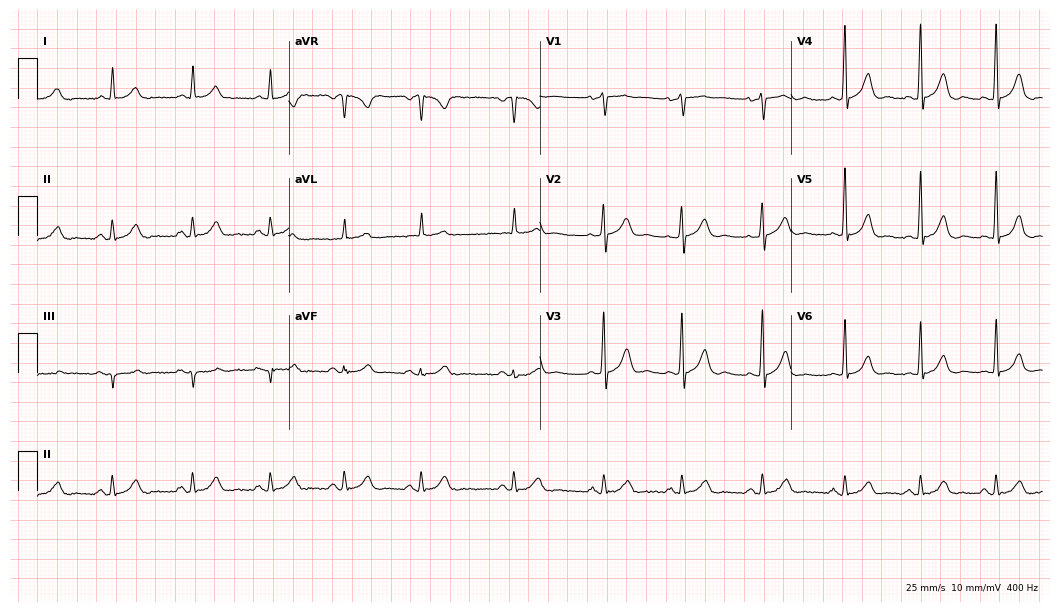
Standard 12-lead ECG recorded from a 60-year-old male (10.2-second recording at 400 Hz). None of these six findings is recorded: first-degree AV block, right bundle branch block (RBBB), left bundle branch block (LBBB), sinus bradycardia, atrial fibrillation (AF), sinus tachycardia. Findings outside these six are not listed.